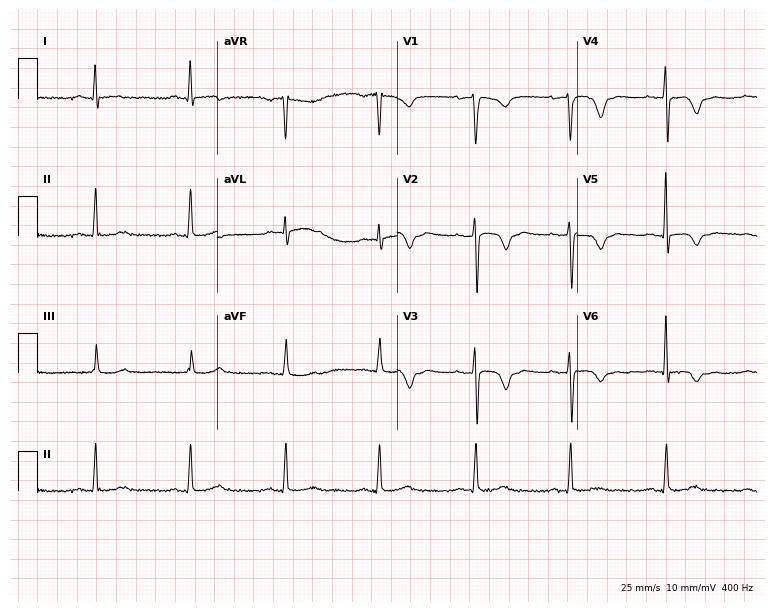
Resting 12-lead electrocardiogram (7.3-second recording at 400 Hz). Patient: a 58-year-old woman. None of these six findings is recorded: first-degree AV block, right bundle branch block (RBBB), left bundle branch block (LBBB), sinus bradycardia, atrial fibrillation (AF), sinus tachycardia.